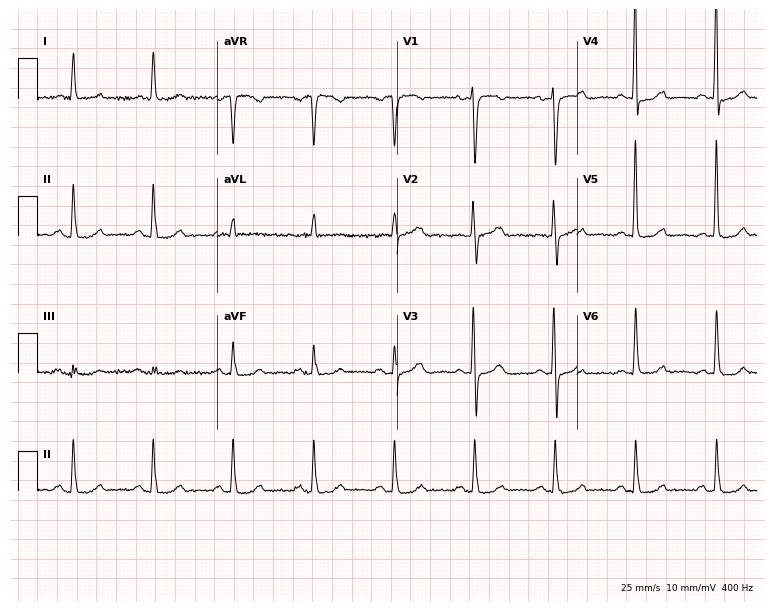
Electrocardiogram (7.3-second recording at 400 Hz), a female patient, 50 years old. Overall reading on record: normal ECG.